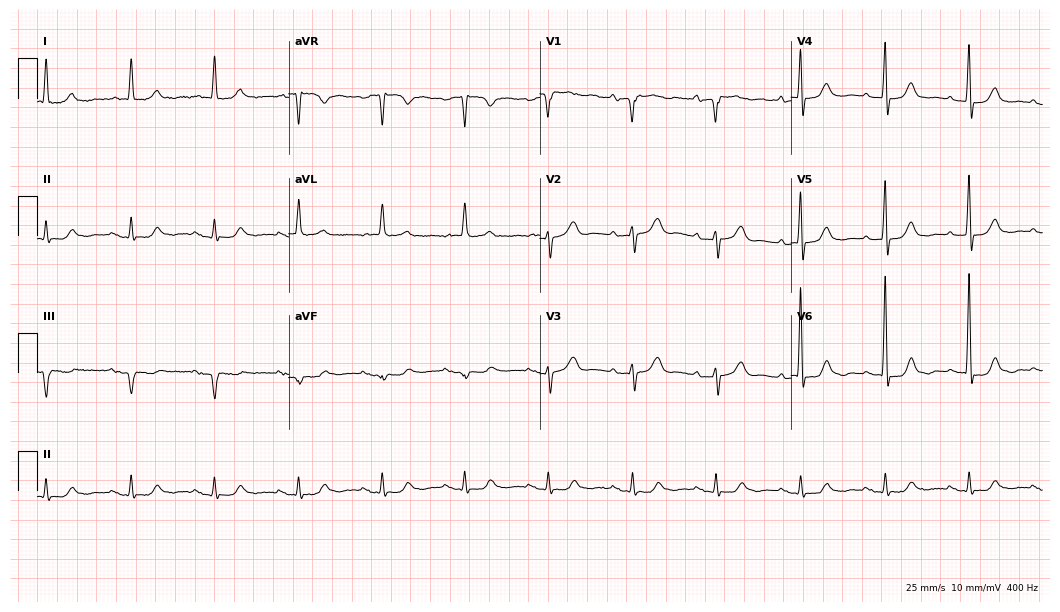
12-lead ECG from an 83-year-old man (10.2-second recording at 400 Hz). Recorded interpretation: within normal limits.